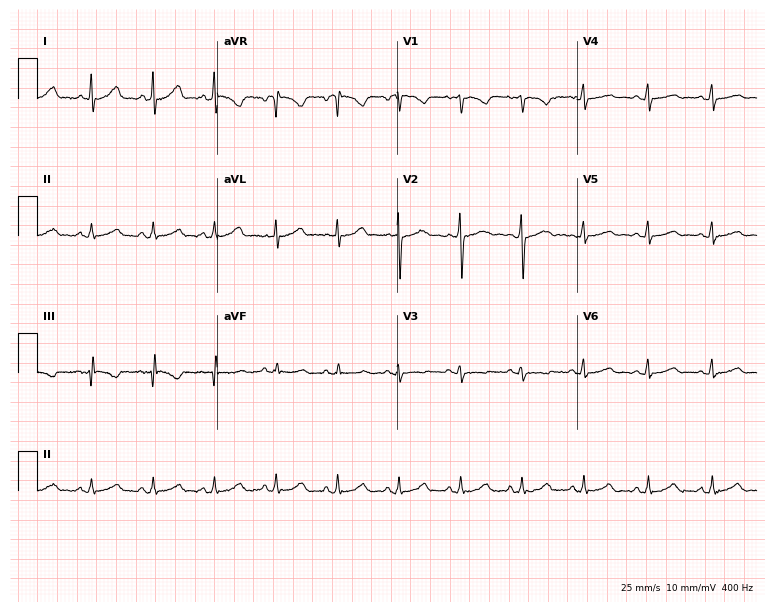
12-lead ECG from a 39-year-old woman. No first-degree AV block, right bundle branch block, left bundle branch block, sinus bradycardia, atrial fibrillation or sinus tachycardia recorded for this tracing. Other findings, if any, are not listed.